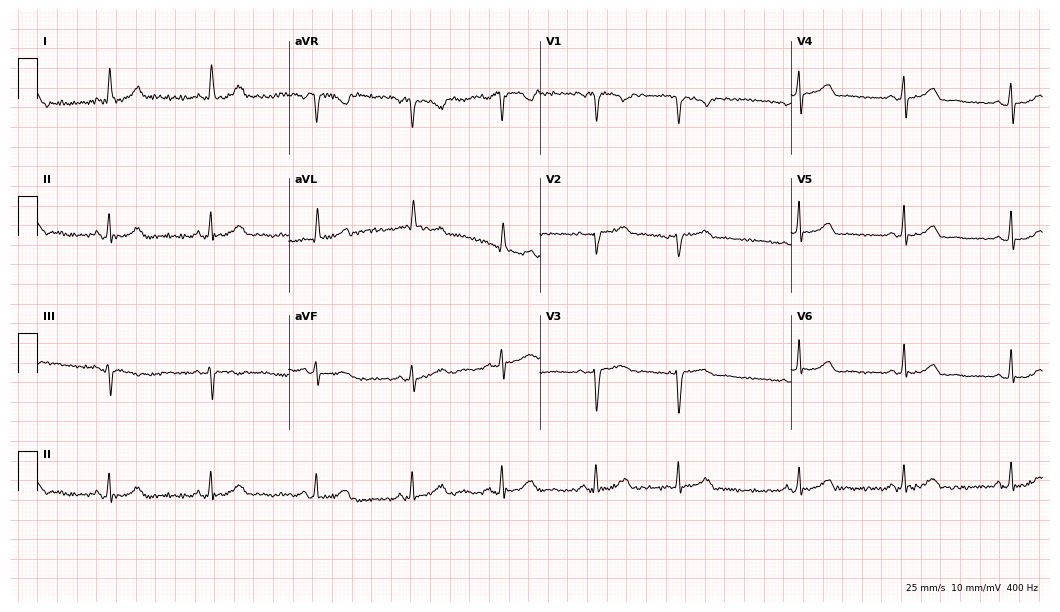
Electrocardiogram, a 33-year-old female patient. Overall reading on record: normal ECG.